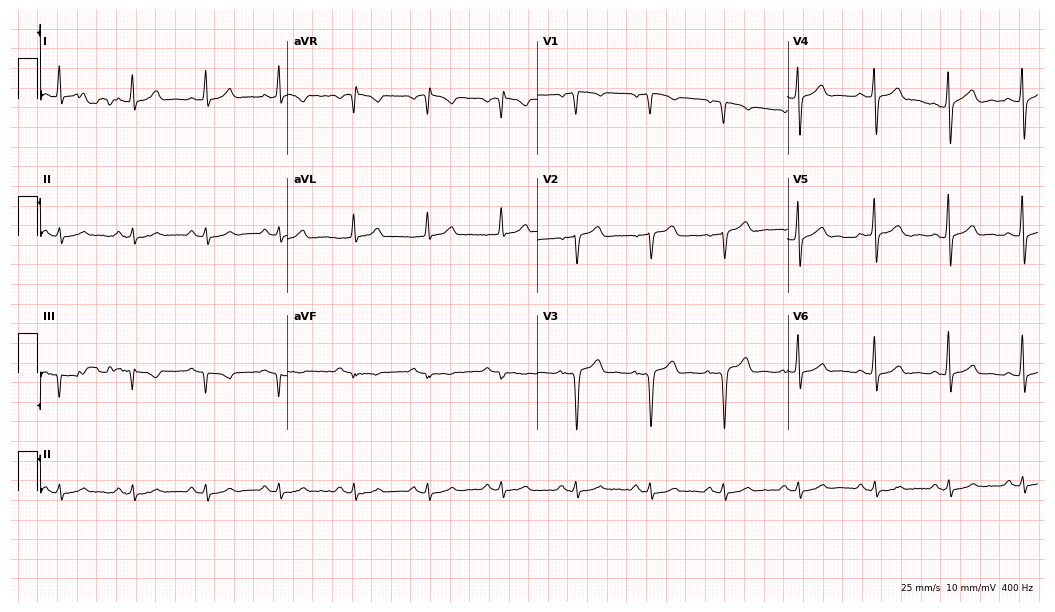
12-lead ECG from a 47-year-old male patient. Labelled as a normal ECG.